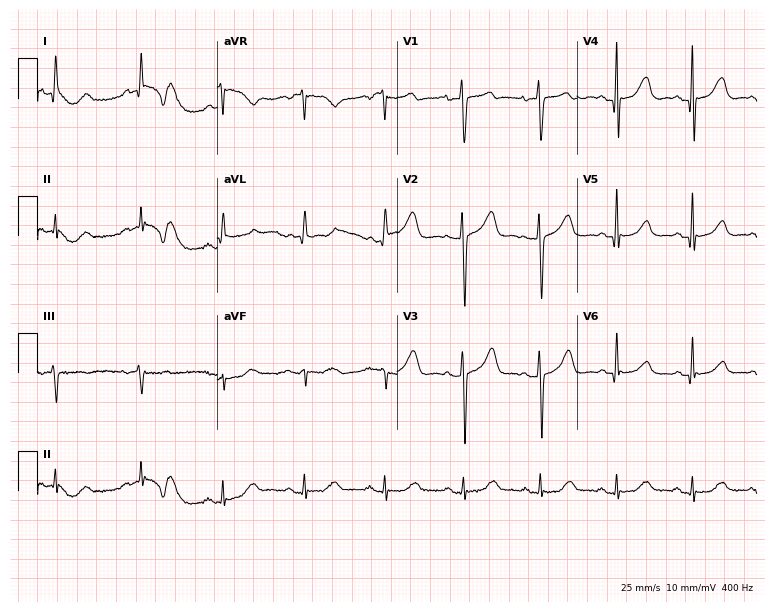
ECG (7.3-second recording at 400 Hz) — a female patient, 66 years old. Screened for six findings — first-degree AV block, right bundle branch block, left bundle branch block, sinus bradycardia, atrial fibrillation, sinus tachycardia — none is recorded.